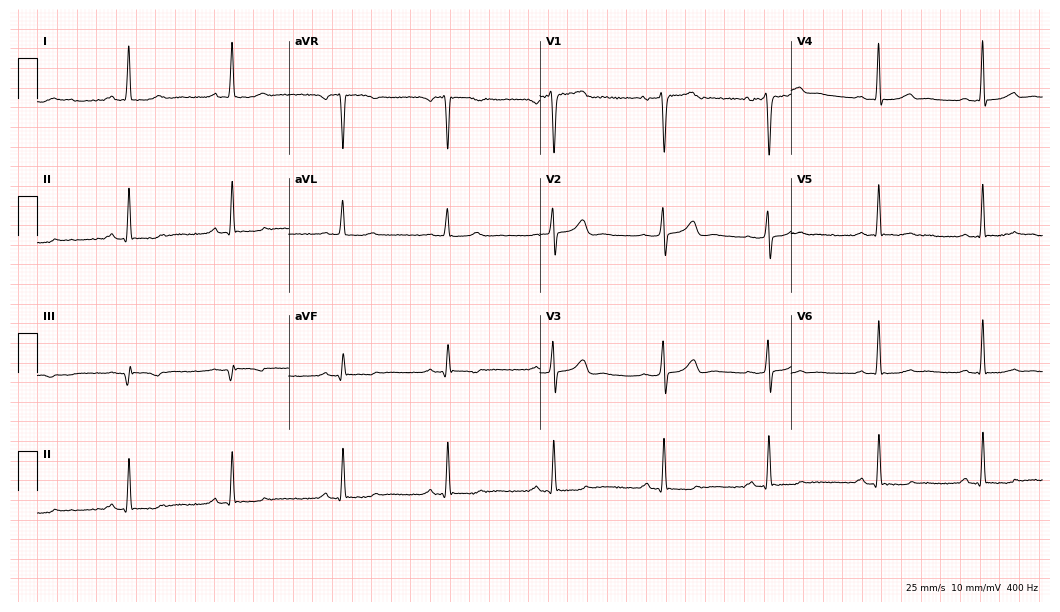
Resting 12-lead electrocardiogram (10.2-second recording at 400 Hz). Patient: a 32-year-old woman. None of these six findings is recorded: first-degree AV block, right bundle branch block, left bundle branch block, sinus bradycardia, atrial fibrillation, sinus tachycardia.